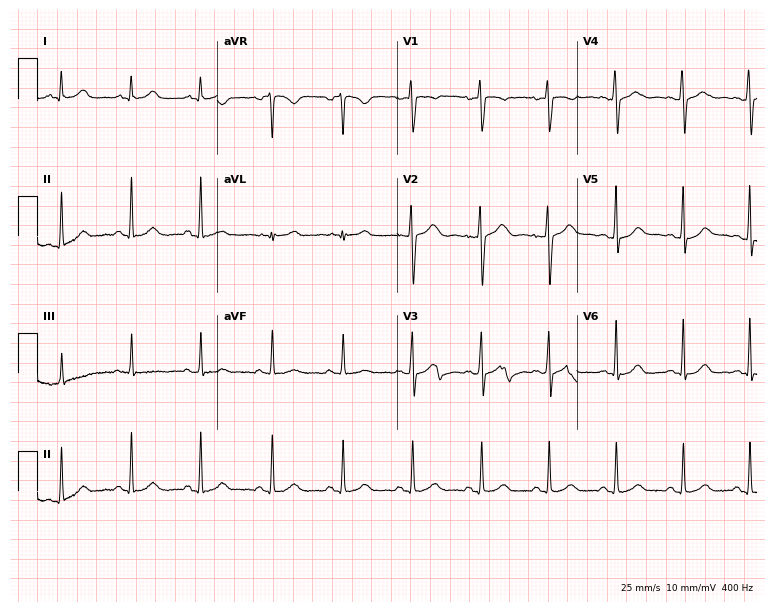
12-lead ECG from a 39-year-old female patient (7.3-second recording at 400 Hz). No first-degree AV block, right bundle branch block (RBBB), left bundle branch block (LBBB), sinus bradycardia, atrial fibrillation (AF) or sinus tachycardia recorded for this tracing.